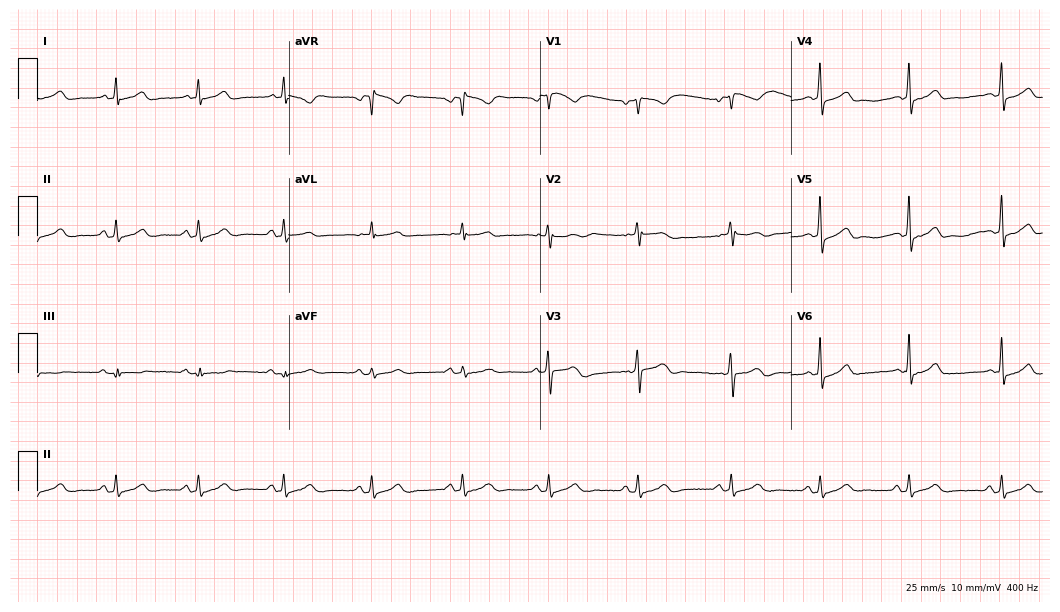
ECG — a woman, 42 years old. Labelled as a normal ECG.